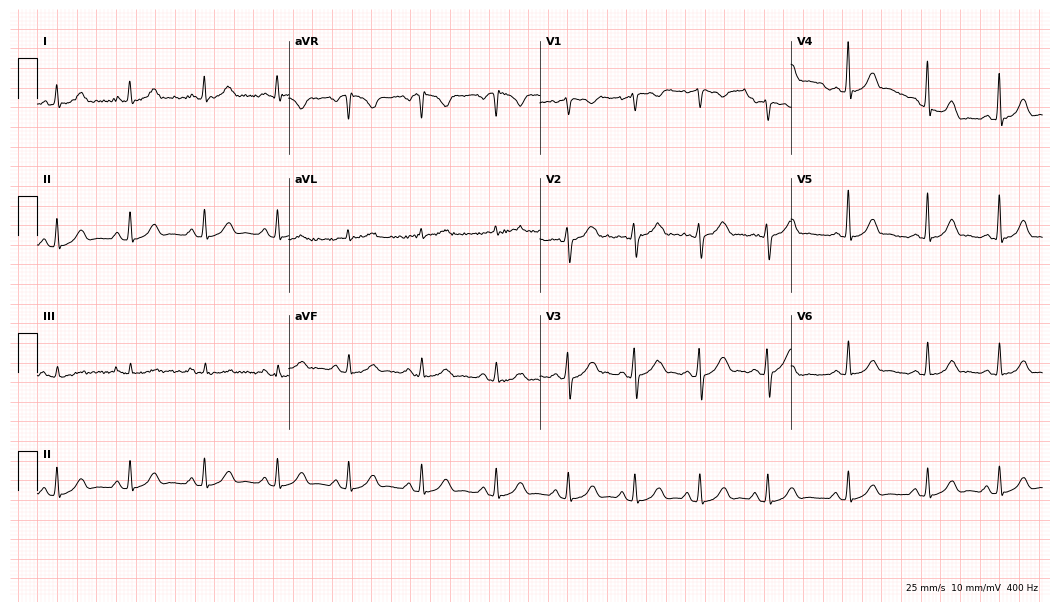
12-lead ECG from a woman, 21 years old. Labelled as a normal ECG.